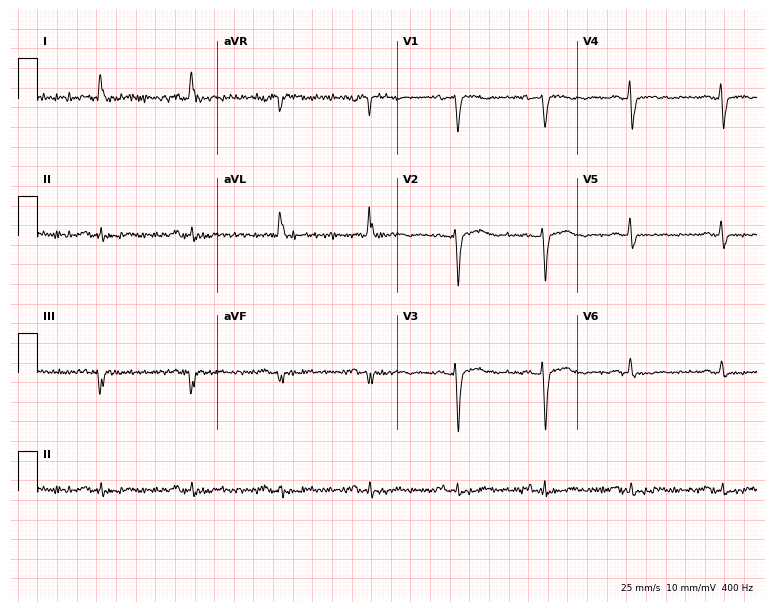
Standard 12-lead ECG recorded from a 57-year-old woman. None of these six findings is recorded: first-degree AV block, right bundle branch block, left bundle branch block, sinus bradycardia, atrial fibrillation, sinus tachycardia. Findings outside these six are not listed.